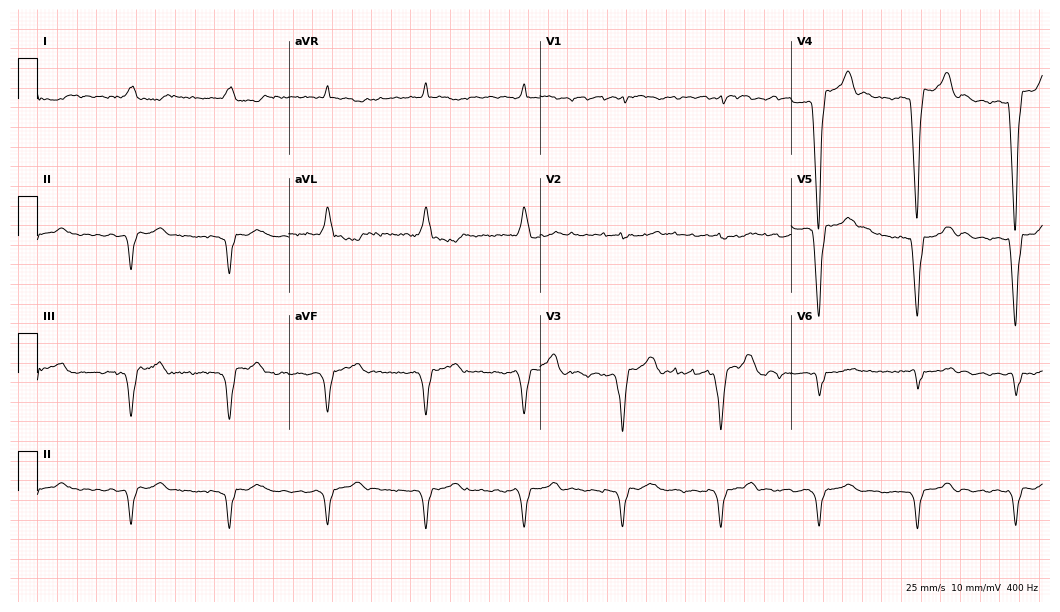
12-lead ECG from an 85-year-old man. No first-degree AV block, right bundle branch block, left bundle branch block, sinus bradycardia, atrial fibrillation or sinus tachycardia recorded for this tracing. Other findings, if any, are not listed.